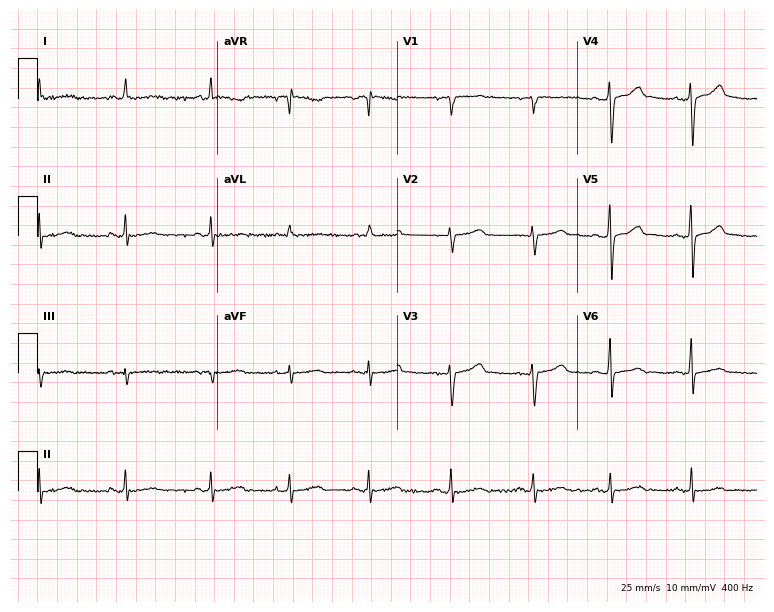
Electrocardiogram (7.3-second recording at 400 Hz), a 40-year-old woman. Of the six screened findings (first-degree AV block, right bundle branch block (RBBB), left bundle branch block (LBBB), sinus bradycardia, atrial fibrillation (AF), sinus tachycardia), none is recorded. Findings outside these six are not listed.